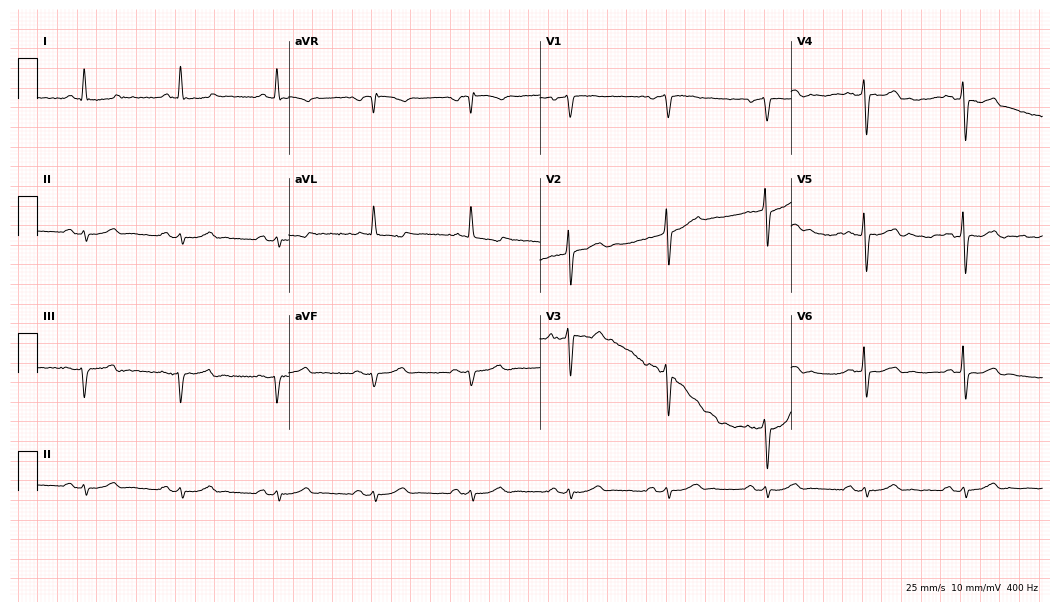
Electrocardiogram, a male patient, 72 years old. Of the six screened findings (first-degree AV block, right bundle branch block (RBBB), left bundle branch block (LBBB), sinus bradycardia, atrial fibrillation (AF), sinus tachycardia), none is recorded. Only these six findings were labelled.